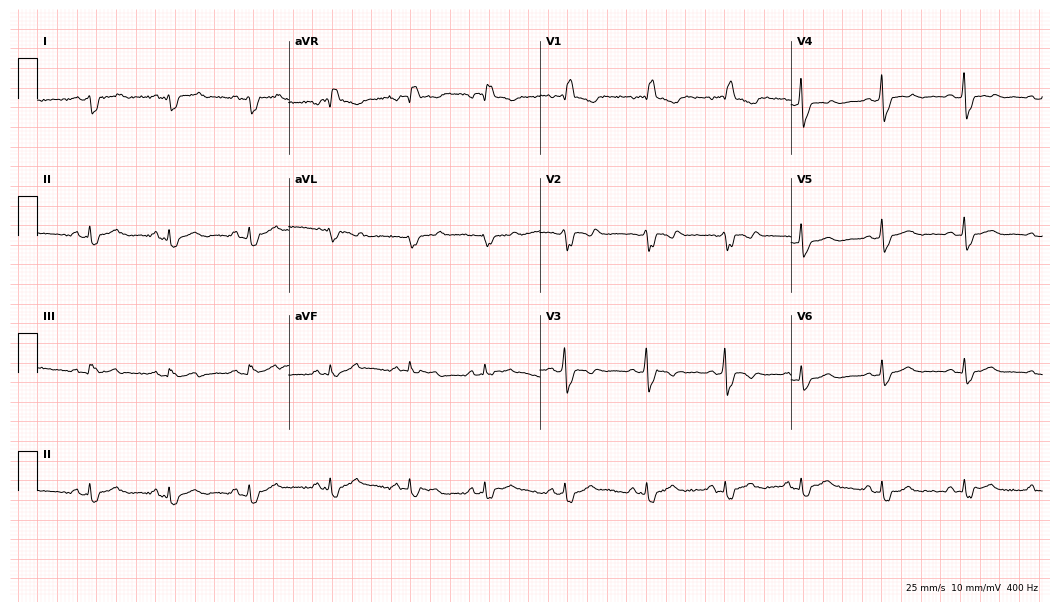
12-lead ECG from a female, 29 years old. Findings include right bundle branch block (RBBB).